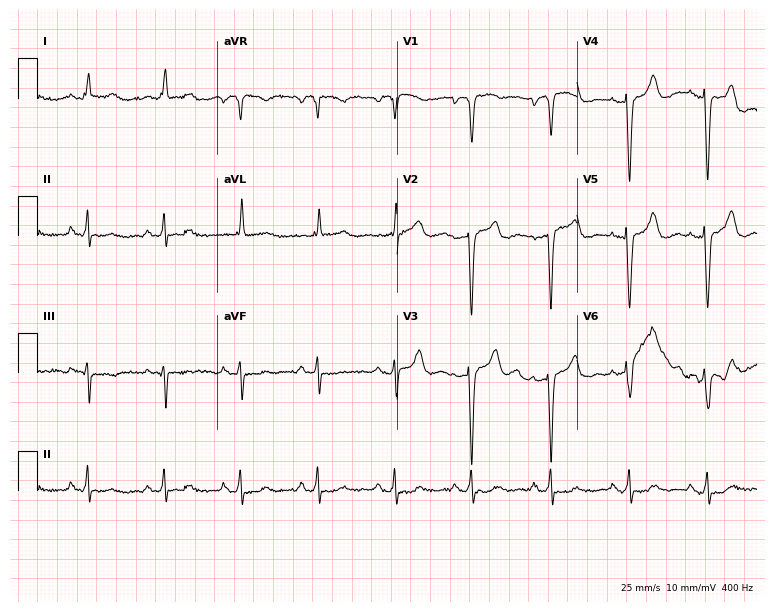
12-lead ECG from an 82-year-old man. No first-degree AV block, right bundle branch block (RBBB), left bundle branch block (LBBB), sinus bradycardia, atrial fibrillation (AF) or sinus tachycardia recorded for this tracing.